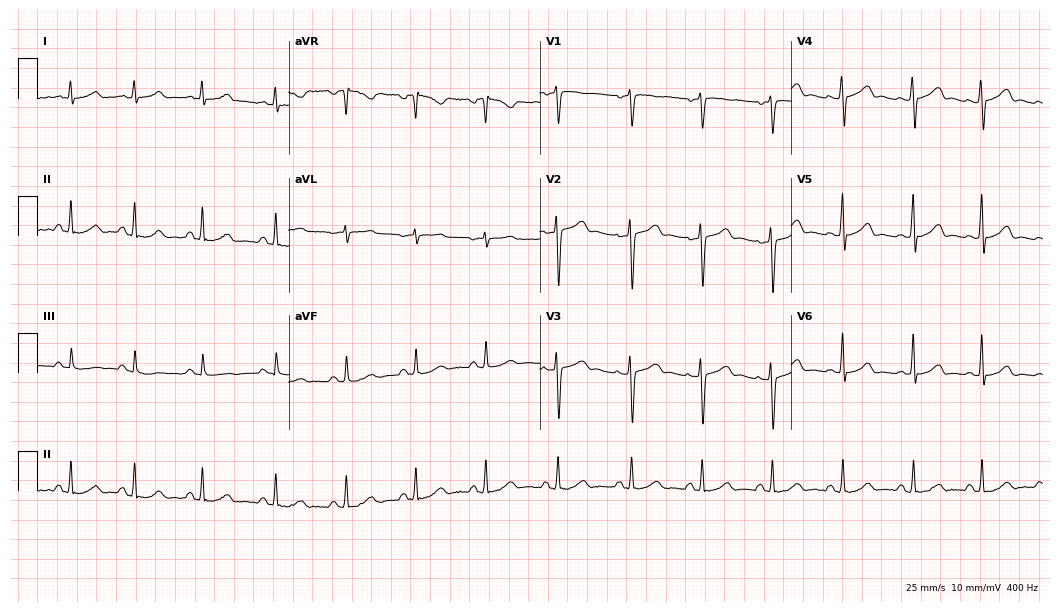
12-lead ECG from a female, 38 years old. Labelled as a normal ECG.